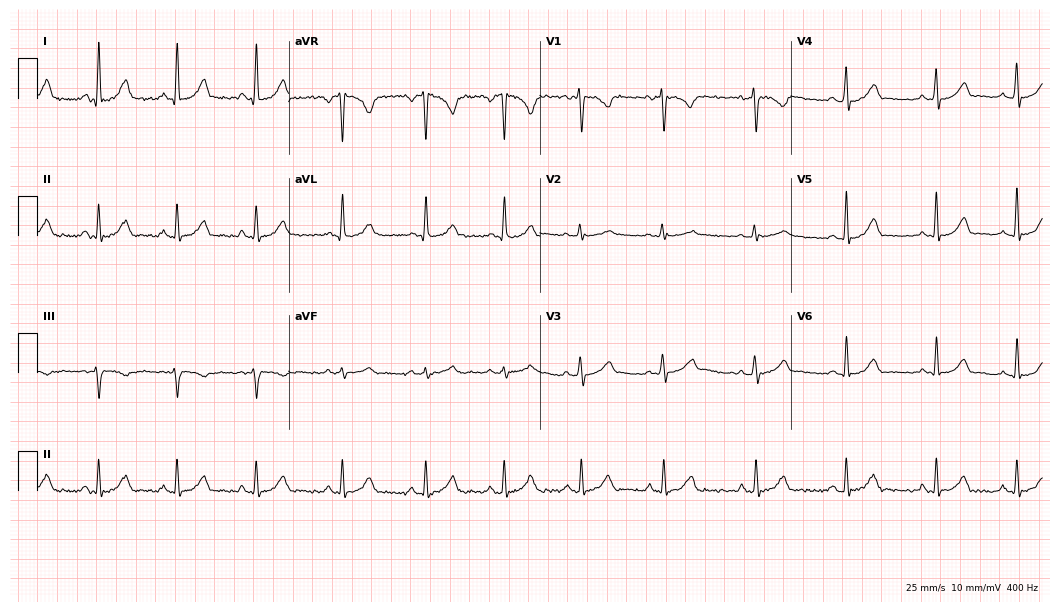
Resting 12-lead electrocardiogram (10.2-second recording at 400 Hz). Patient: a woman, 25 years old. Read as a normal ECG.